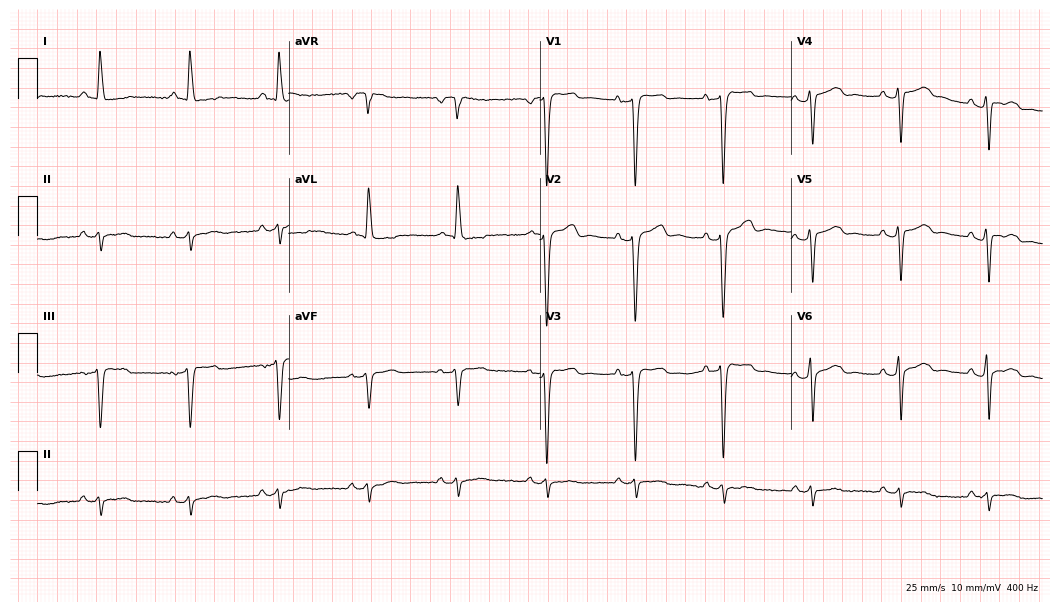
Electrocardiogram (10.2-second recording at 400 Hz), a female patient, 74 years old. Of the six screened findings (first-degree AV block, right bundle branch block (RBBB), left bundle branch block (LBBB), sinus bradycardia, atrial fibrillation (AF), sinus tachycardia), none is recorded. Findings outside these six are not listed.